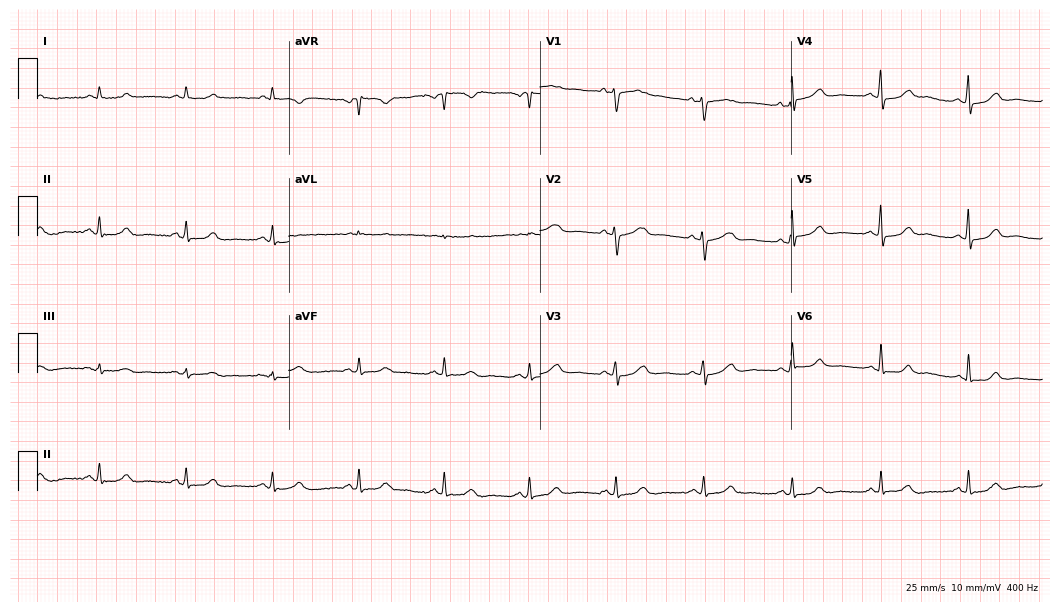
Electrocardiogram, a 68-year-old woman. Overall reading on record: normal ECG.